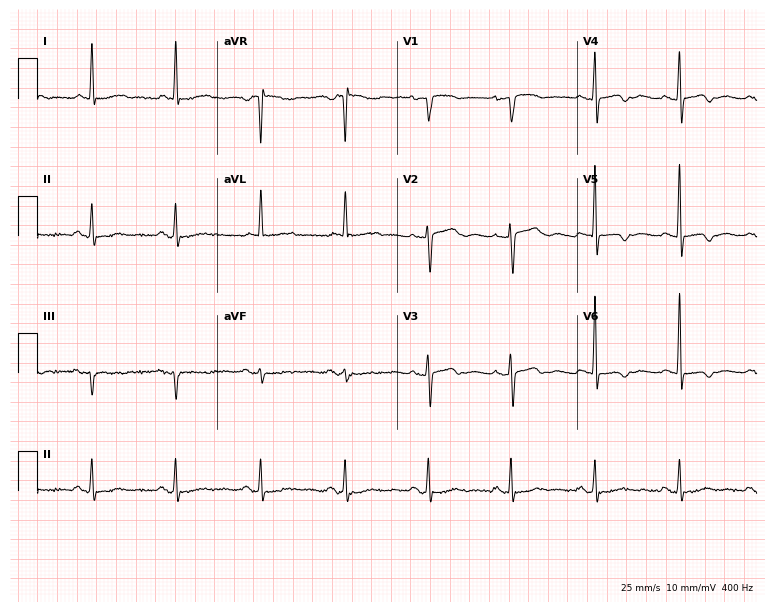
12-lead ECG from a 73-year-old woman. Screened for six findings — first-degree AV block, right bundle branch block, left bundle branch block, sinus bradycardia, atrial fibrillation, sinus tachycardia — none is recorded.